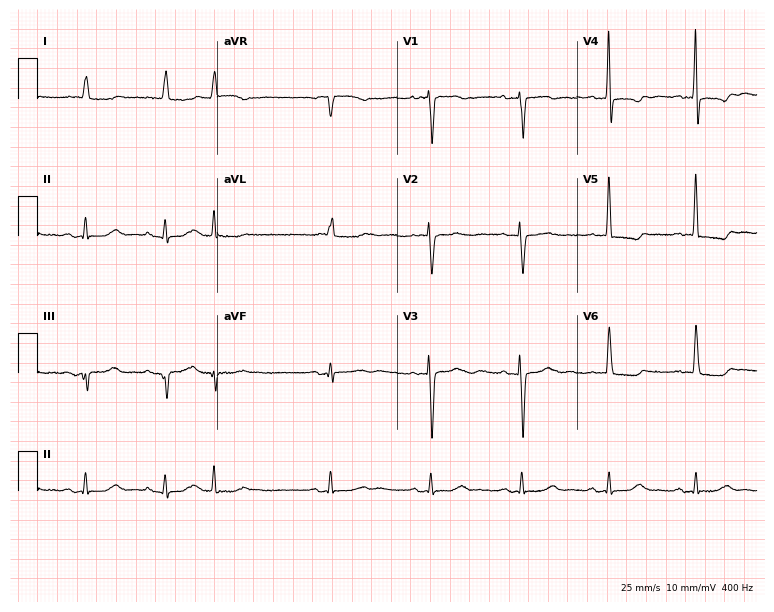
Standard 12-lead ECG recorded from a woman, 80 years old (7.3-second recording at 400 Hz). None of these six findings is recorded: first-degree AV block, right bundle branch block, left bundle branch block, sinus bradycardia, atrial fibrillation, sinus tachycardia. Other findings, if any, are not listed.